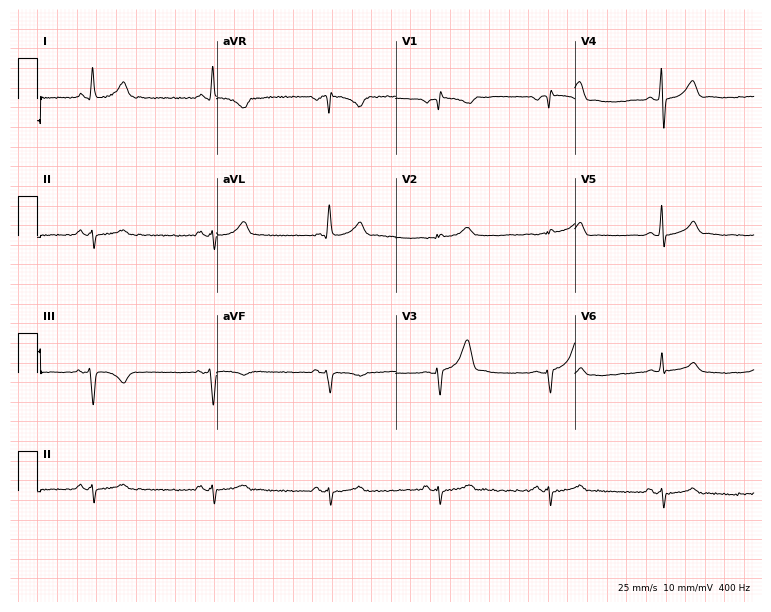
12-lead ECG (7.3-second recording at 400 Hz) from a man, 39 years old. Screened for six findings — first-degree AV block, right bundle branch block (RBBB), left bundle branch block (LBBB), sinus bradycardia, atrial fibrillation (AF), sinus tachycardia — none is recorded.